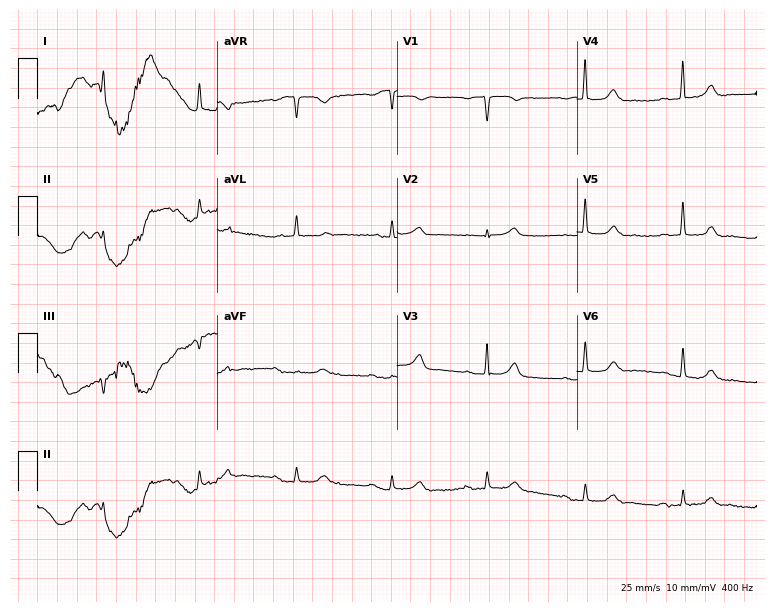
12-lead ECG (7.3-second recording at 400 Hz) from an 81-year-old man. Screened for six findings — first-degree AV block, right bundle branch block, left bundle branch block, sinus bradycardia, atrial fibrillation, sinus tachycardia — none is recorded.